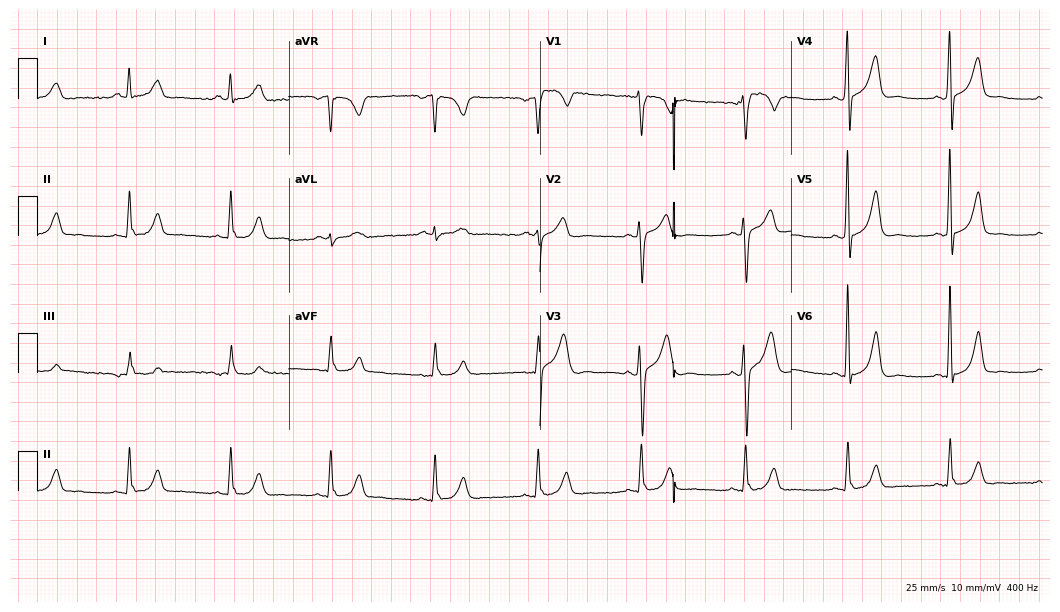
12-lead ECG from a 40-year-old male patient. Recorded interpretation: within normal limits.